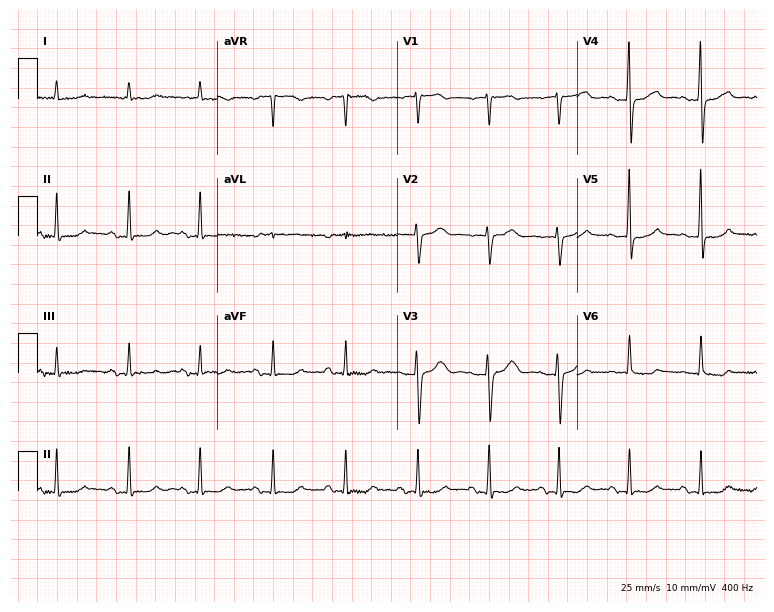
Electrocardiogram, a woman, 76 years old. Overall reading on record: normal ECG.